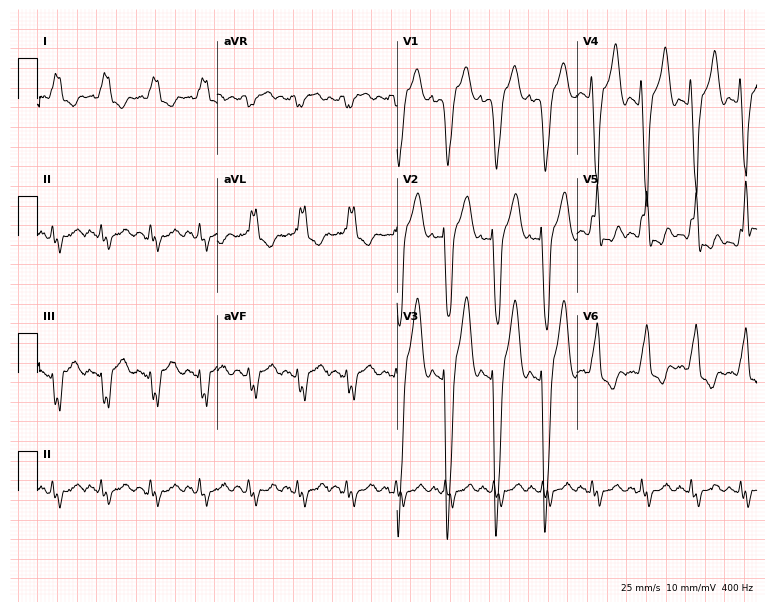
12-lead ECG from a 73-year-old male. Shows left bundle branch block (LBBB), sinus tachycardia (a sinus rate of 100 beats per minute or more).